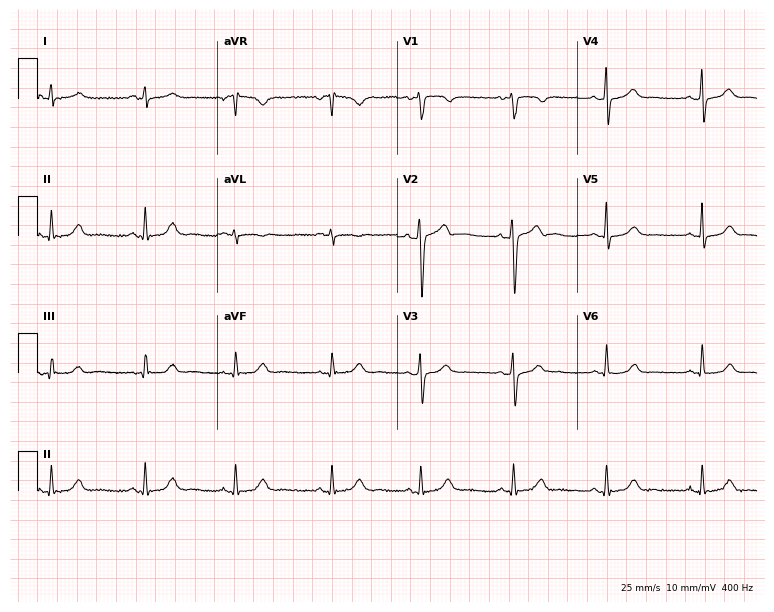
12-lead ECG (7.3-second recording at 400 Hz) from a 31-year-old female. Screened for six findings — first-degree AV block, right bundle branch block (RBBB), left bundle branch block (LBBB), sinus bradycardia, atrial fibrillation (AF), sinus tachycardia — none is recorded. Only these six findings were labelled.